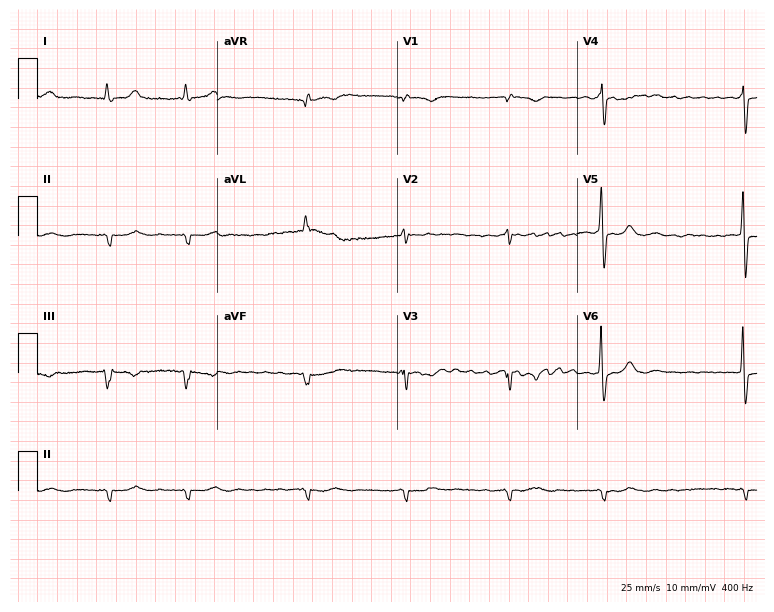
12-lead ECG from a male, 79 years old (7.3-second recording at 400 Hz). No first-degree AV block, right bundle branch block (RBBB), left bundle branch block (LBBB), sinus bradycardia, atrial fibrillation (AF) or sinus tachycardia recorded for this tracing.